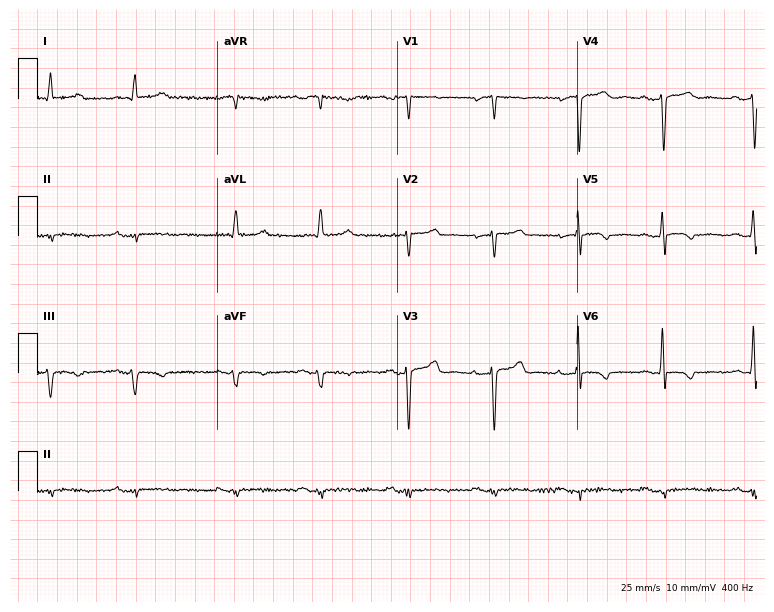
ECG (7.3-second recording at 400 Hz) — a 70-year-old male. Screened for six findings — first-degree AV block, right bundle branch block, left bundle branch block, sinus bradycardia, atrial fibrillation, sinus tachycardia — none is recorded.